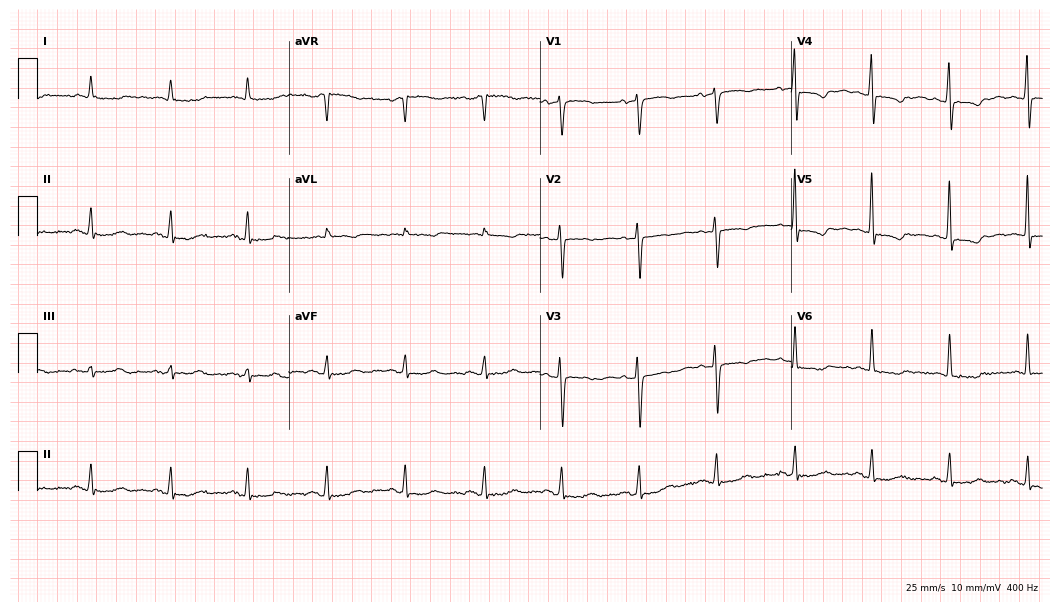
ECG — an 83-year-old female patient. Screened for six findings — first-degree AV block, right bundle branch block, left bundle branch block, sinus bradycardia, atrial fibrillation, sinus tachycardia — none is recorded.